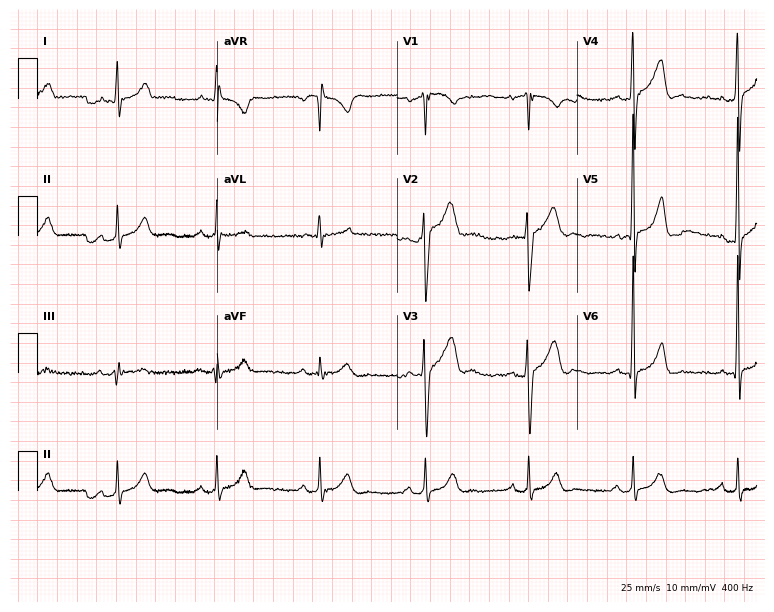
Electrocardiogram, a male, 34 years old. Of the six screened findings (first-degree AV block, right bundle branch block, left bundle branch block, sinus bradycardia, atrial fibrillation, sinus tachycardia), none is recorded.